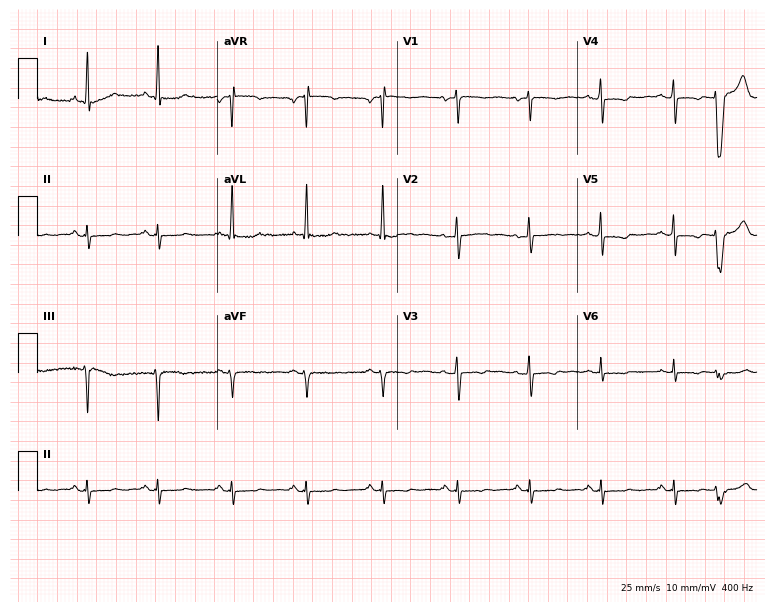
12-lead ECG from a 49-year-old woman. No first-degree AV block, right bundle branch block (RBBB), left bundle branch block (LBBB), sinus bradycardia, atrial fibrillation (AF) or sinus tachycardia recorded for this tracing. Other findings, if any, are not listed.